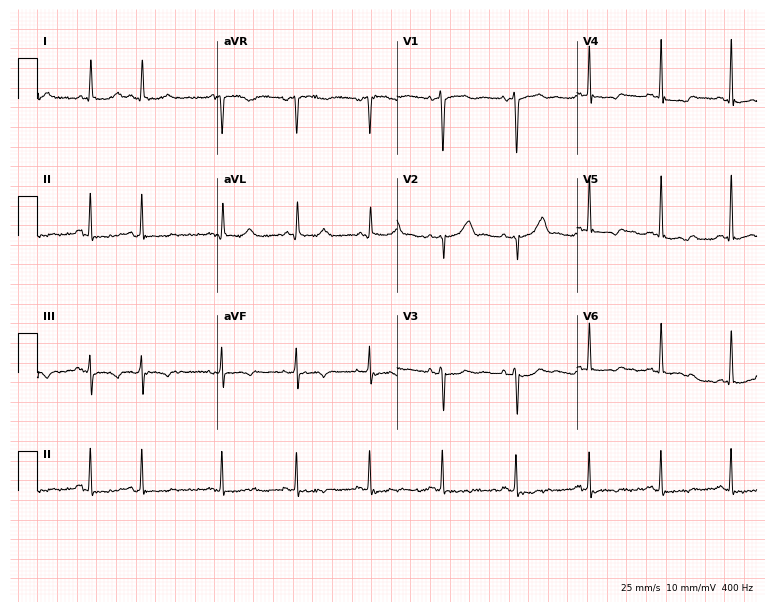
12-lead ECG (7.3-second recording at 400 Hz) from an 80-year-old female. Screened for six findings — first-degree AV block, right bundle branch block, left bundle branch block, sinus bradycardia, atrial fibrillation, sinus tachycardia — none is recorded. Only these six findings were labelled.